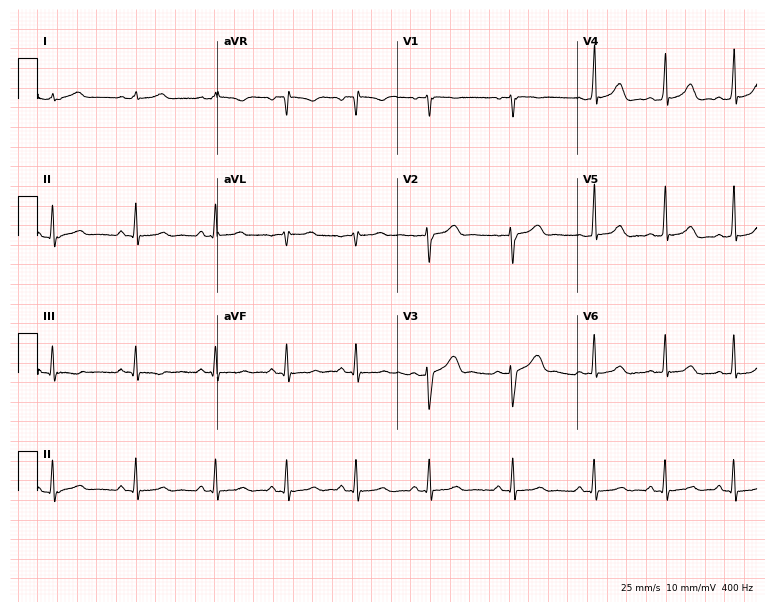
12-lead ECG from a 30-year-old female patient (7.3-second recording at 400 Hz). No first-degree AV block, right bundle branch block (RBBB), left bundle branch block (LBBB), sinus bradycardia, atrial fibrillation (AF) or sinus tachycardia recorded for this tracing.